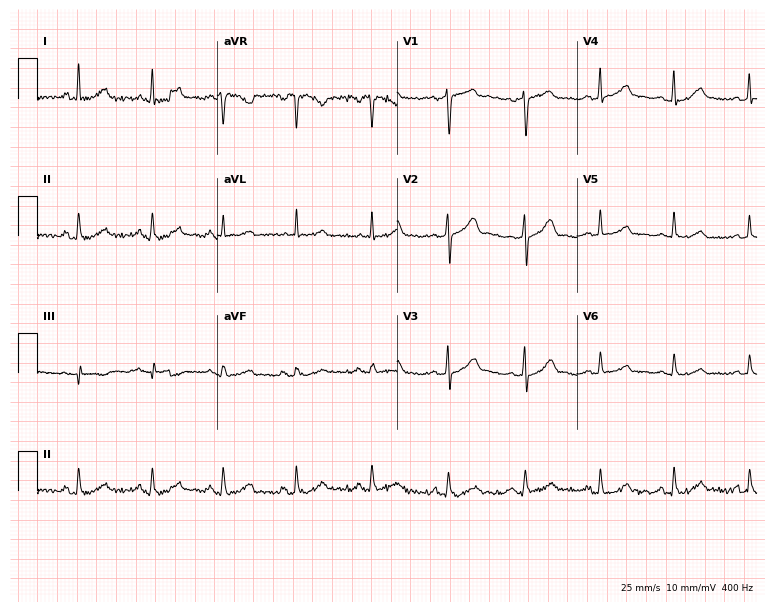
Resting 12-lead electrocardiogram. Patient: a 47-year-old female. Read as a normal ECG.